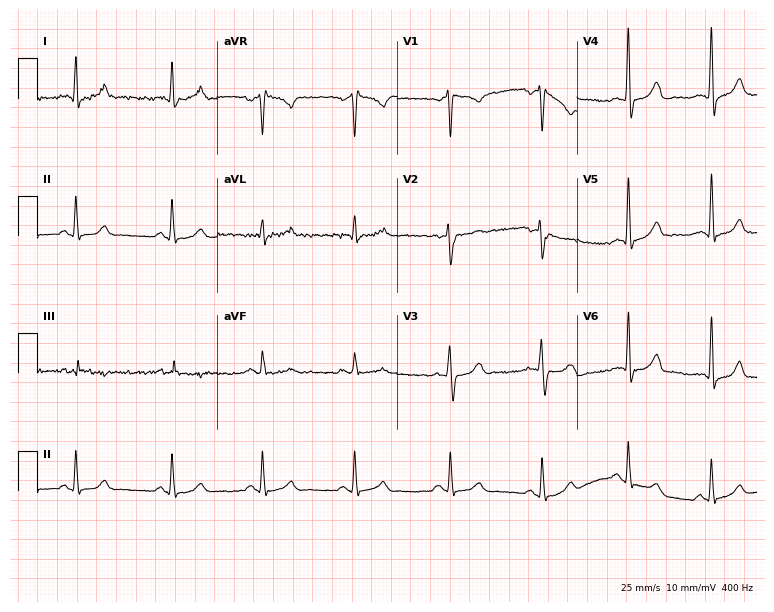
Electrocardiogram (7.3-second recording at 400 Hz), a 43-year-old man. Of the six screened findings (first-degree AV block, right bundle branch block, left bundle branch block, sinus bradycardia, atrial fibrillation, sinus tachycardia), none is recorded. Findings outside these six are not listed.